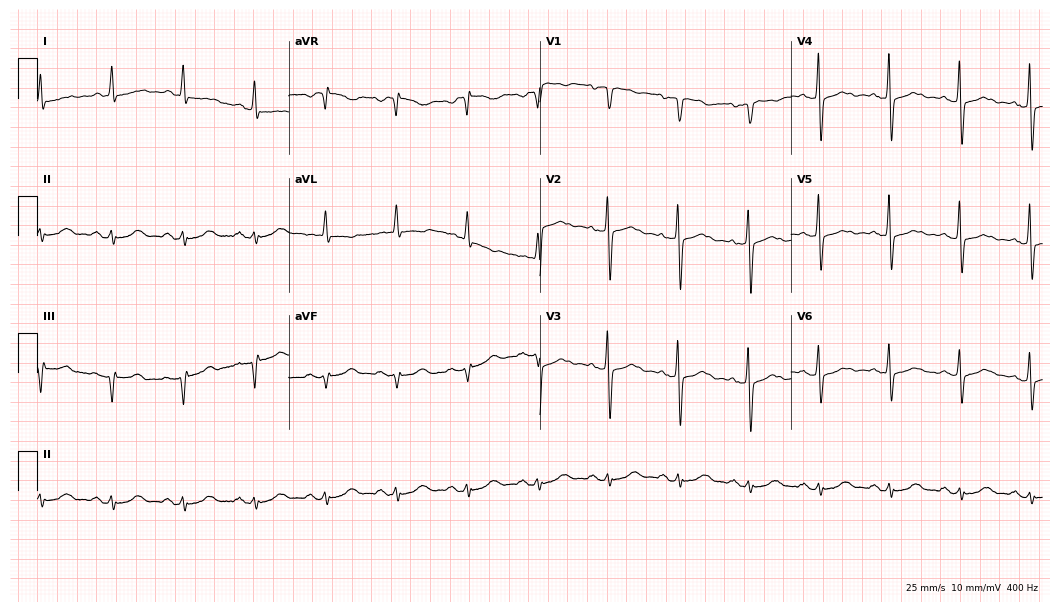
12-lead ECG from a female, 67 years old (10.2-second recording at 400 Hz). No first-degree AV block, right bundle branch block, left bundle branch block, sinus bradycardia, atrial fibrillation or sinus tachycardia recorded for this tracing. Only these six findings were labelled.